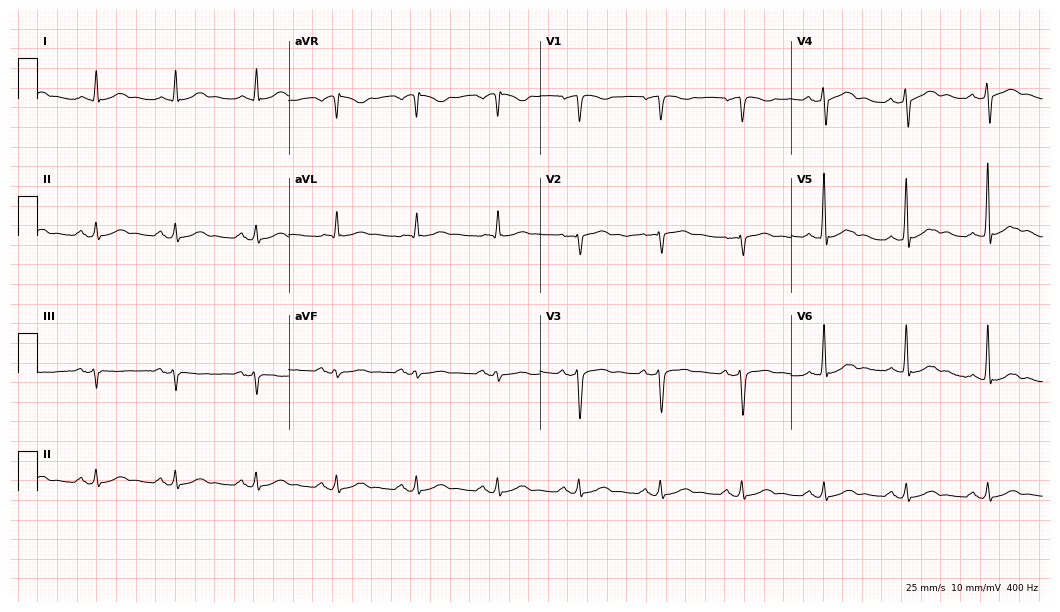
12-lead ECG (10.2-second recording at 400 Hz) from a man, 63 years old. Labelled as a normal ECG.